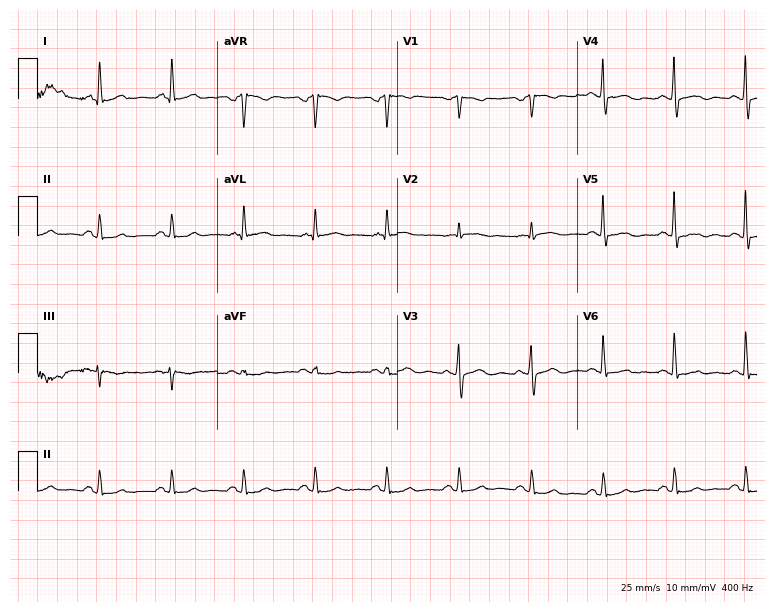
12-lead ECG from a 59-year-old man. No first-degree AV block, right bundle branch block (RBBB), left bundle branch block (LBBB), sinus bradycardia, atrial fibrillation (AF) or sinus tachycardia recorded for this tracing.